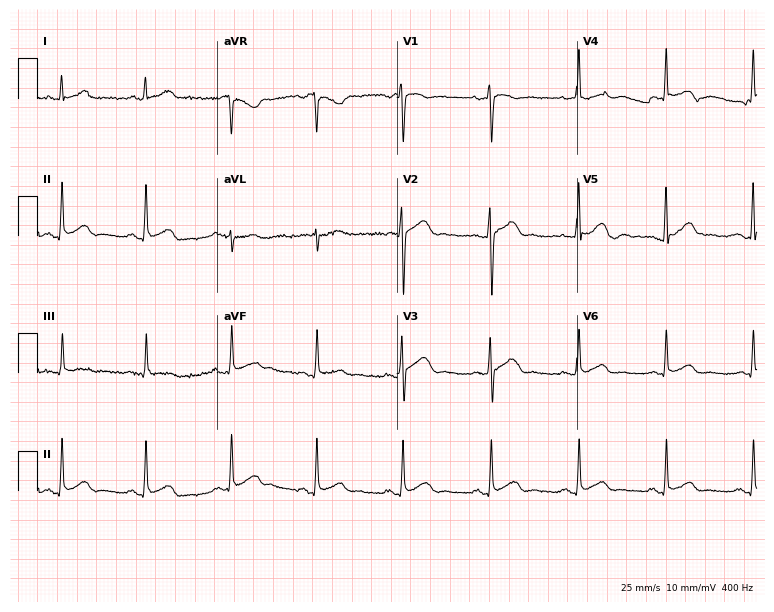
ECG — a female, 45 years old. Screened for six findings — first-degree AV block, right bundle branch block, left bundle branch block, sinus bradycardia, atrial fibrillation, sinus tachycardia — none is recorded. Other findings, if any, are not listed.